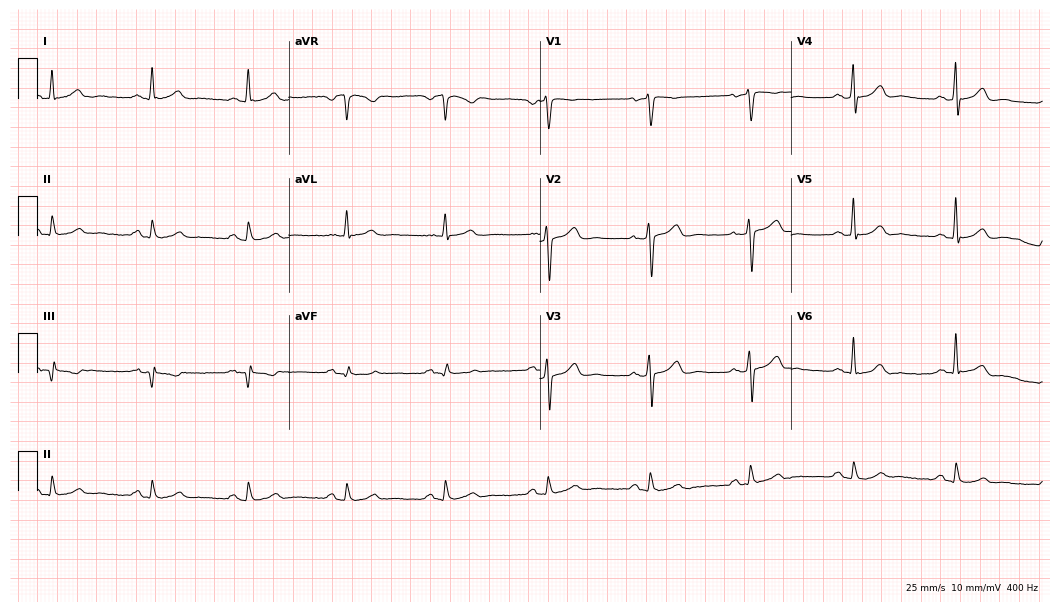
Resting 12-lead electrocardiogram (10.2-second recording at 400 Hz). Patient: a 59-year-old woman. Read as a normal ECG.